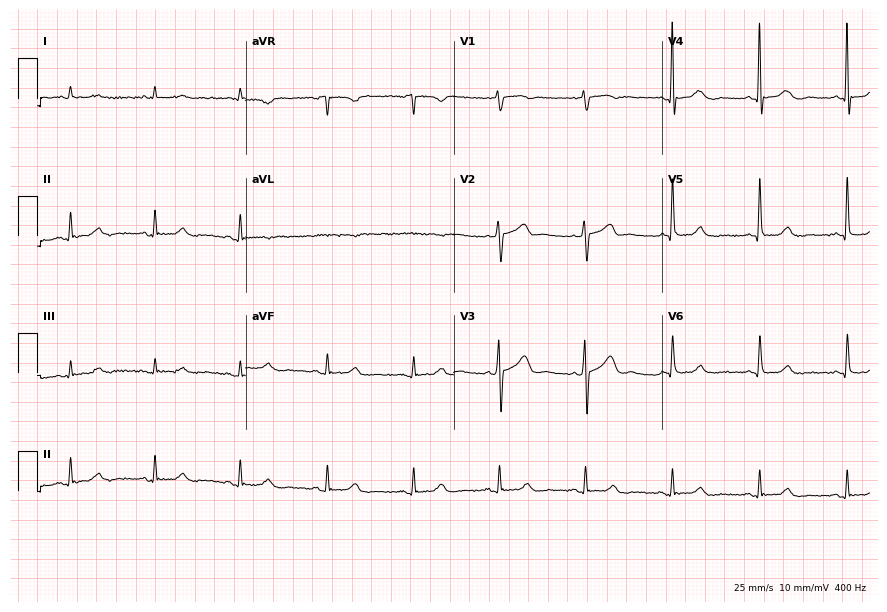
12-lead ECG from a male, 83 years old. No first-degree AV block, right bundle branch block, left bundle branch block, sinus bradycardia, atrial fibrillation or sinus tachycardia recorded for this tracing. Findings outside these six are not listed.